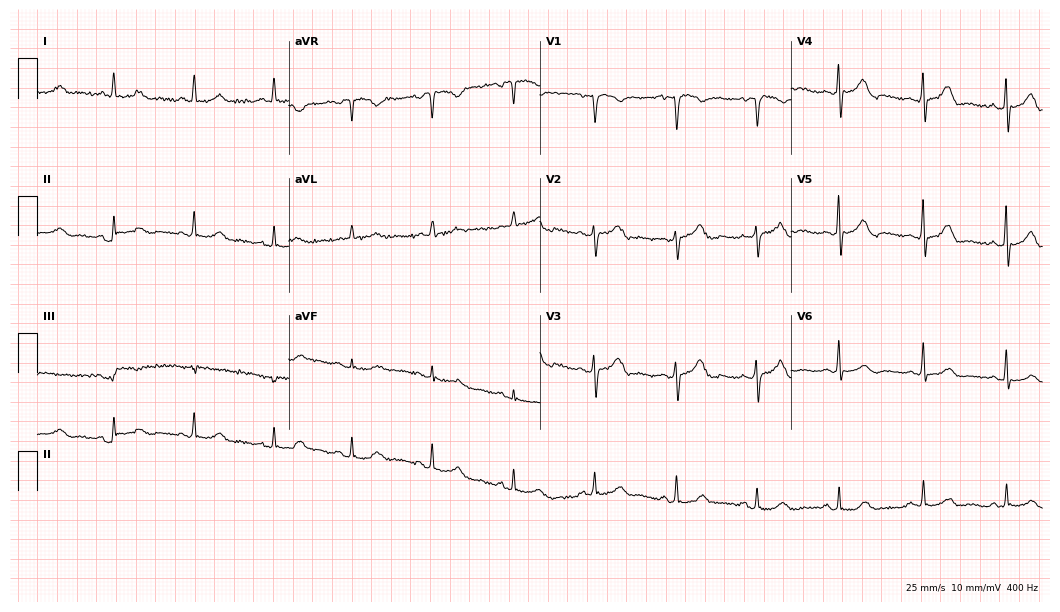
Electrocardiogram (10.2-second recording at 400 Hz), a female, 49 years old. Of the six screened findings (first-degree AV block, right bundle branch block, left bundle branch block, sinus bradycardia, atrial fibrillation, sinus tachycardia), none is recorded. Other findings, if any, are not listed.